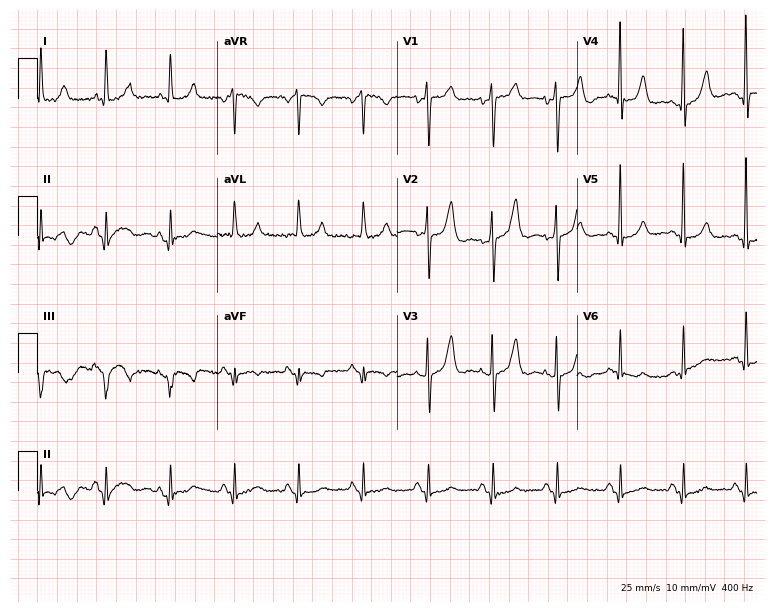
12-lead ECG from a woman, 80 years old (7.3-second recording at 400 Hz). Recorded interpretation: within normal limits.